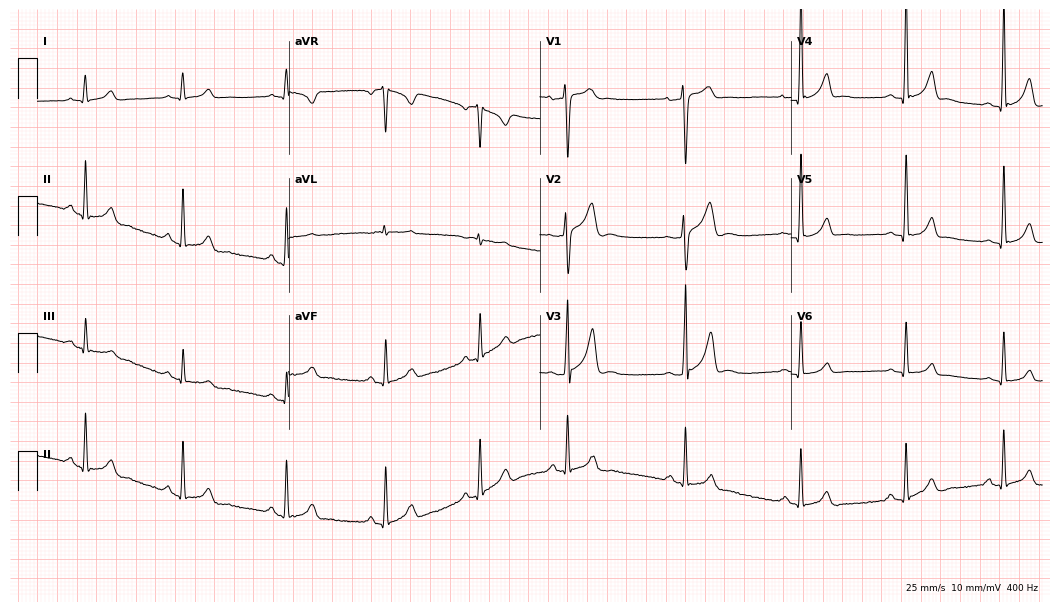
Electrocardiogram, a 20-year-old male patient. Of the six screened findings (first-degree AV block, right bundle branch block, left bundle branch block, sinus bradycardia, atrial fibrillation, sinus tachycardia), none is recorded. Findings outside these six are not listed.